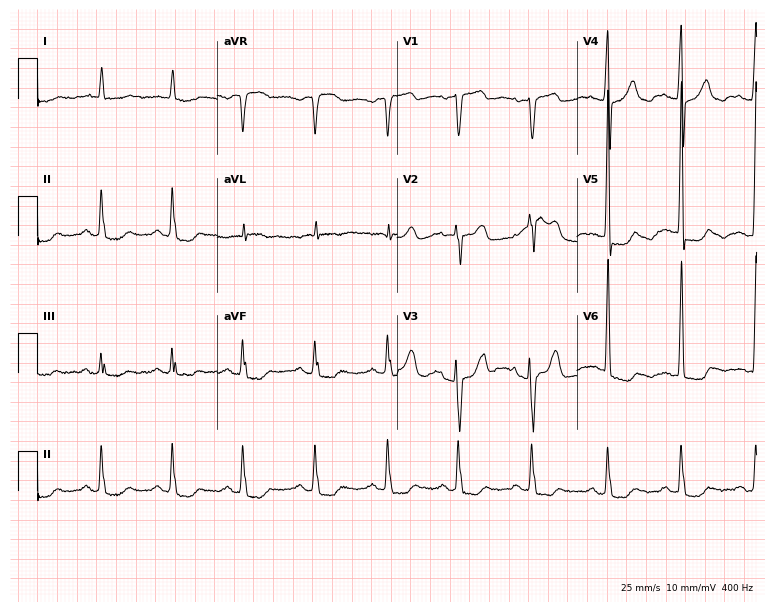
Resting 12-lead electrocardiogram (7.3-second recording at 400 Hz). Patient: an 84-year-old female. None of these six findings is recorded: first-degree AV block, right bundle branch block, left bundle branch block, sinus bradycardia, atrial fibrillation, sinus tachycardia. Findings outside these six are not listed.